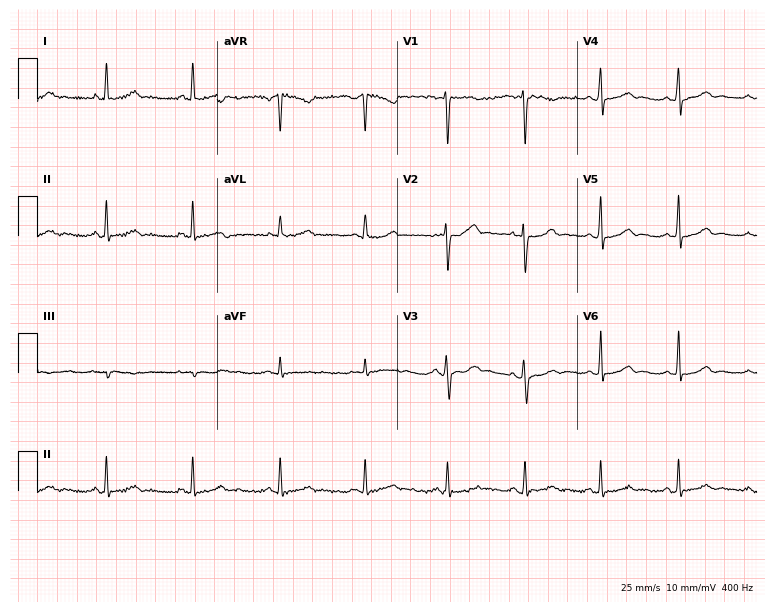
Electrocardiogram, a 37-year-old female. Overall reading on record: normal ECG.